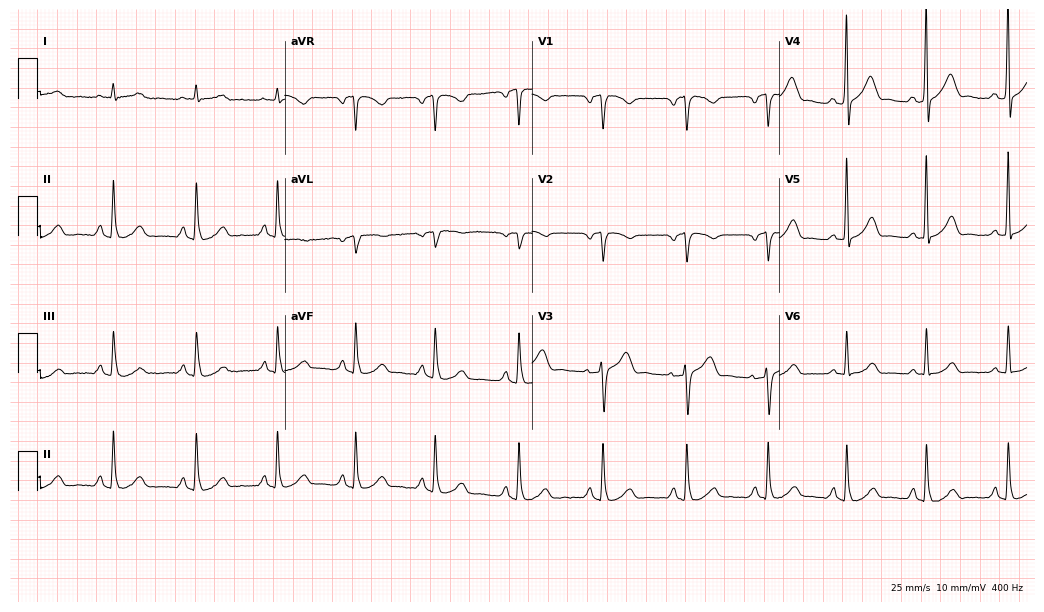
Standard 12-lead ECG recorded from a male patient, 64 years old. Read as a normal ECG.